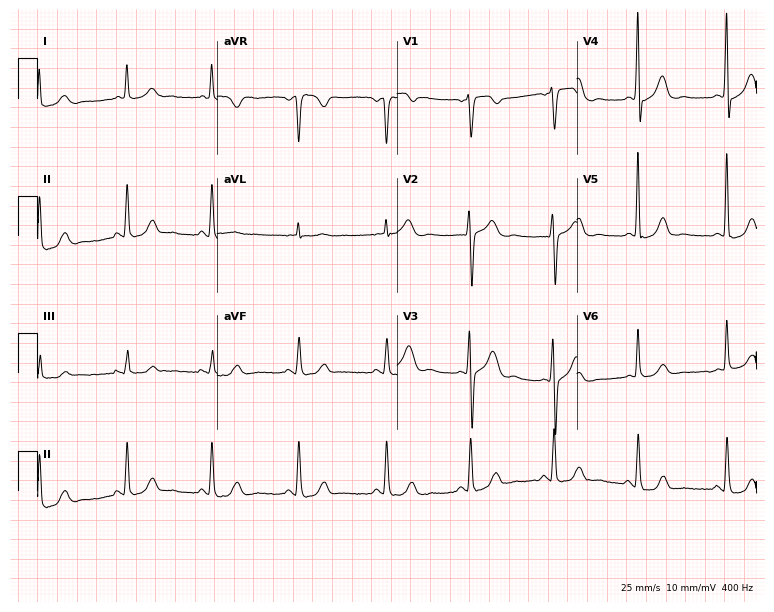
Standard 12-lead ECG recorded from a female, 59 years old. None of these six findings is recorded: first-degree AV block, right bundle branch block, left bundle branch block, sinus bradycardia, atrial fibrillation, sinus tachycardia.